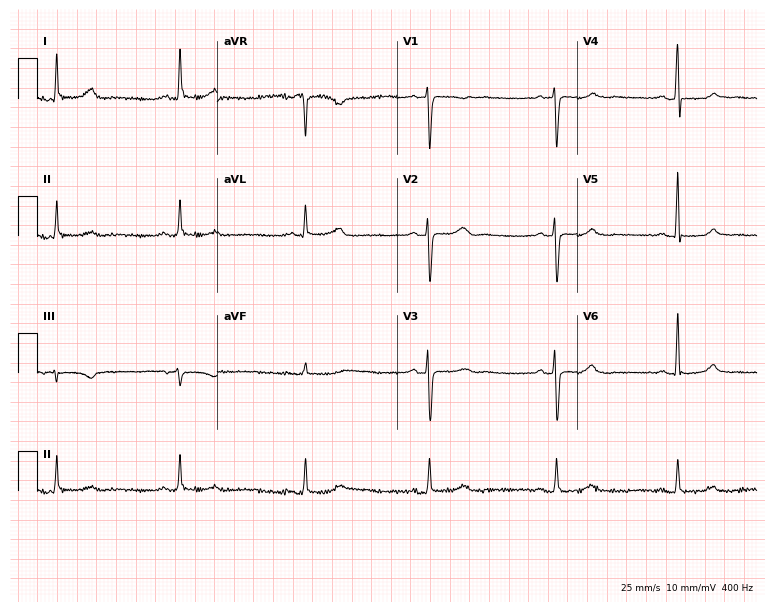
ECG (7.3-second recording at 400 Hz) — a 58-year-old female. Findings include sinus bradycardia (a sinus rate of 50 beats per minute or less).